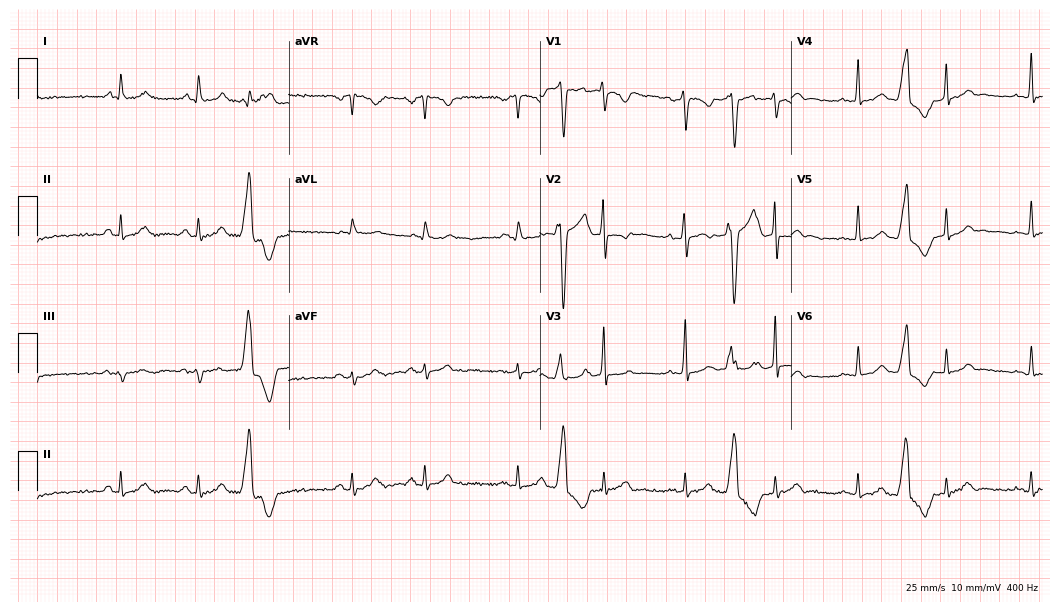
Standard 12-lead ECG recorded from a woman, 28 years old (10.2-second recording at 400 Hz). None of these six findings is recorded: first-degree AV block, right bundle branch block, left bundle branch block, sinus bradycardia, atrial fibrillation, sinus tachycardia. Other findings, if any, are not listed.